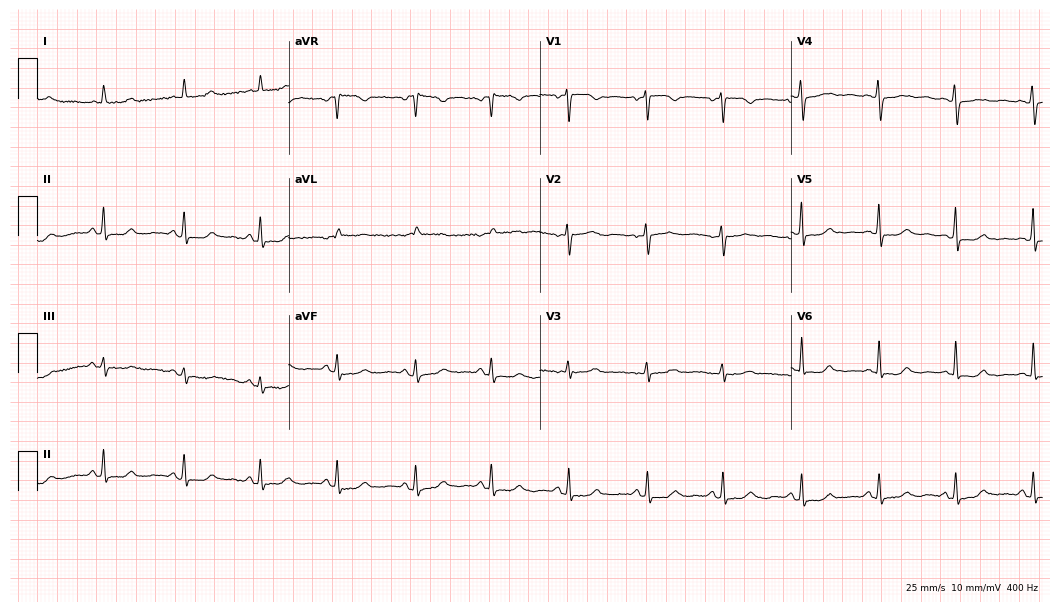
12-lead ECG (10.2-second recording at 400 Hz) from a 54-year-old female patient. Screened for six findings — first-degree AV block, right bundle branch block (RBBB), left bundle branch block (LBBB), sinus bradycardia, atrial fibrillation (AF), sinus tachycardia — none is recorded.